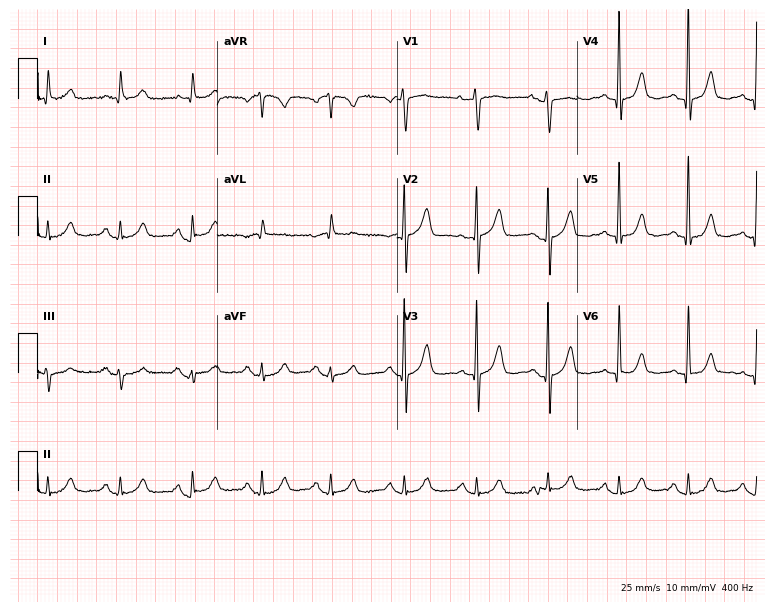
Resting 12-lead electrocardiogram (7.3-second recording at 400 Hz). Patient: a male, 78 years old. None of these six findings is recorded: first-degree AV block, right bundle branch block, left bundle branch block, sinus bradycardia, atrial fibrillation, sinus tachycardia. Findings outside these six are not listed.